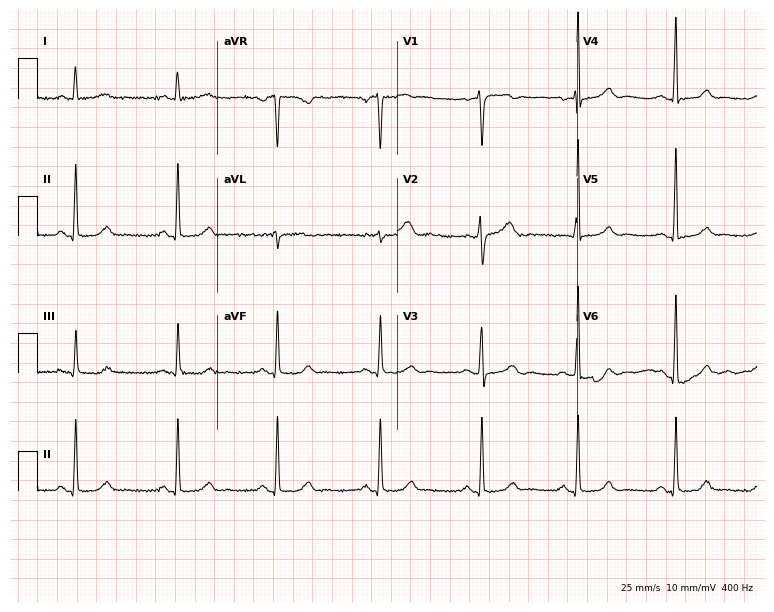
12-lead ECG (7.3-second recording at 400 Hz) from a 59-year-old woman. Labelled as a normal ECG.